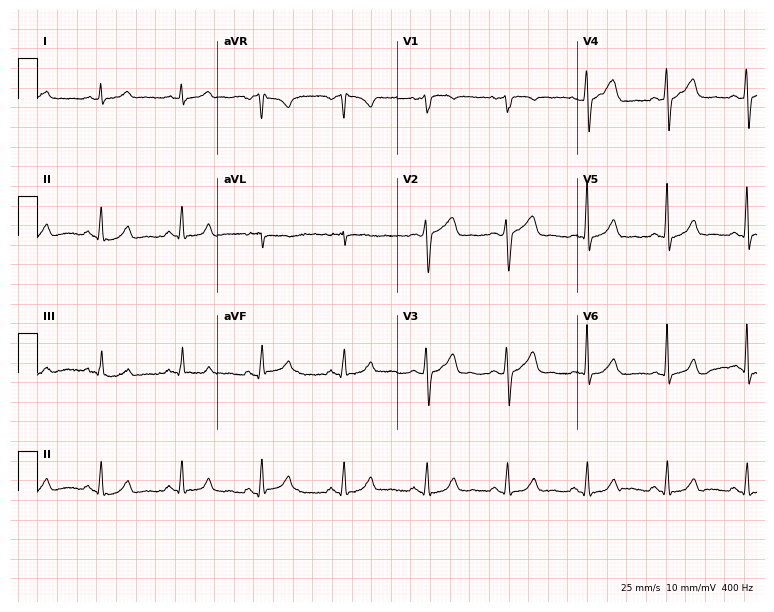
Resting 12-lead electrocardiogram (7.3-second recording at 400 Hz). Patient: a 51-year-old male. Read as a normal ECG.